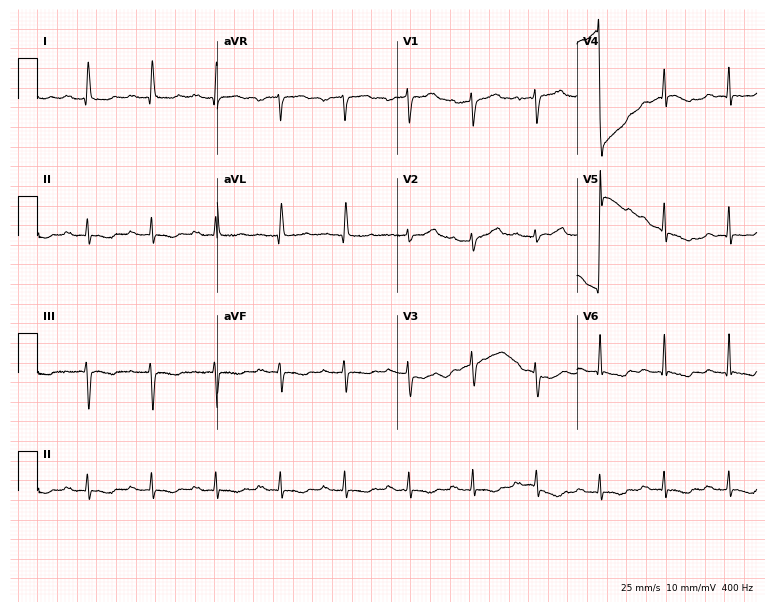
12-lead ECG from a male patient, 75 years old (7.3-second recording at 400 Hz). Shows first-degree AV block.